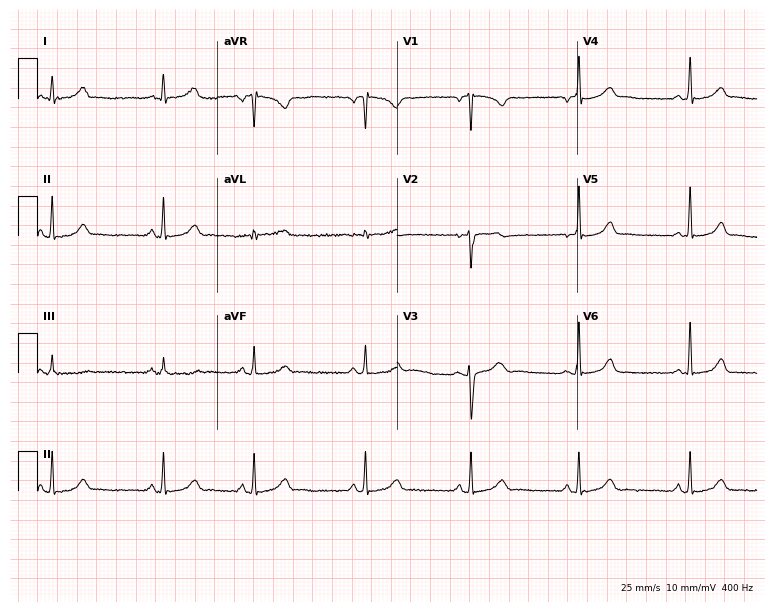
12-lead ECG (7.3-second recording at 400 Hz) from a 24-year-old man. Labelled as a normal ECG.